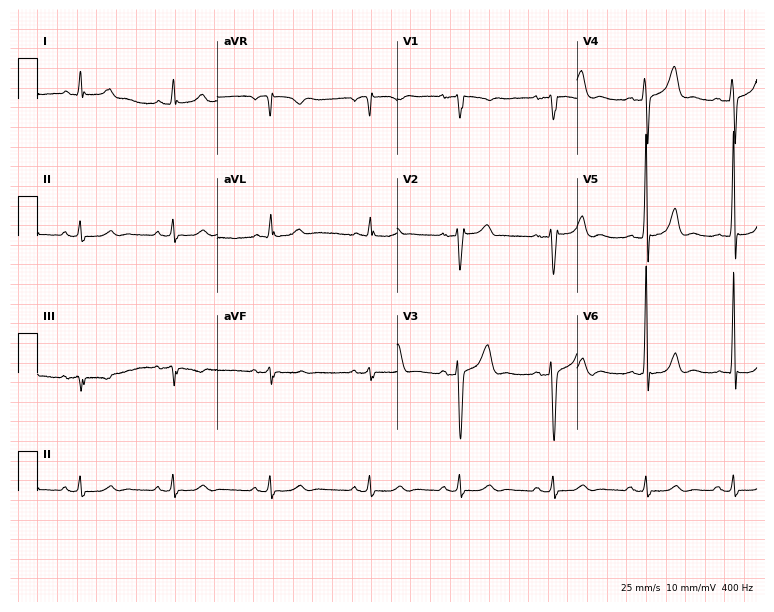
ECG (7.3-second recording at 400 Hz) — a 46-year-old man. Labelled as a normal ECG.